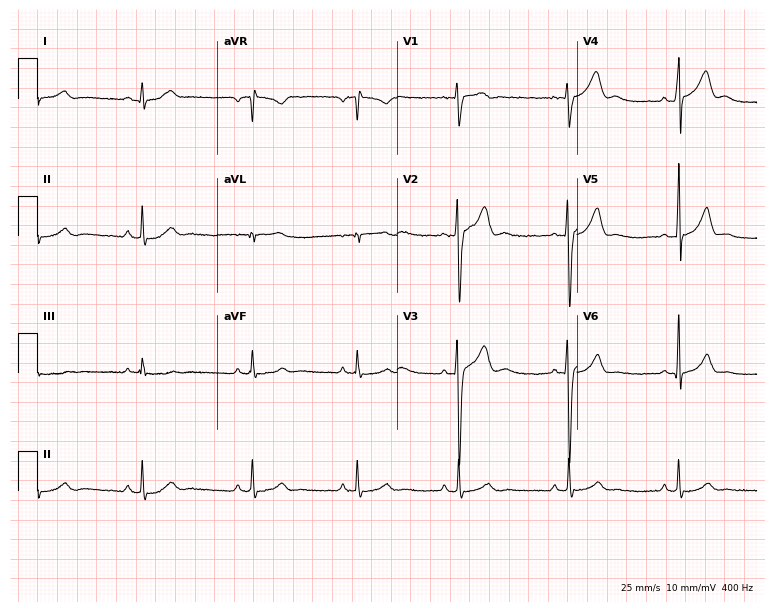
Electrocardiogram, a male, 24 years old. Overall reading on record: normal ECG.